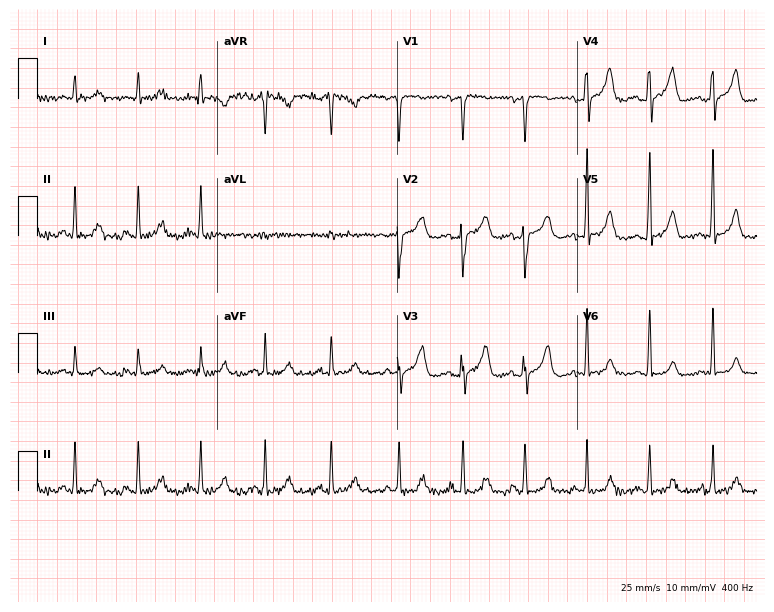
ECG — a 55-year-old man. Labelled as a normal ECG.